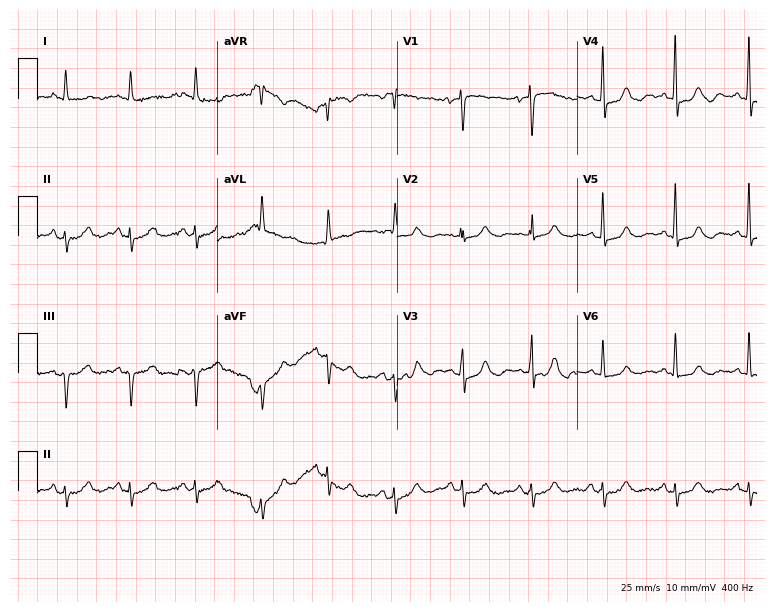
Resting 12-lead electrocardiogram. Patient: a female, 83 years old. None of these six findings is recorded: first-degree AV block, right bundle branch block, left bundle branch block, sinus bradycardia, atrial fibrillation, sinus tachycardia. Findings outside these six are not listed.